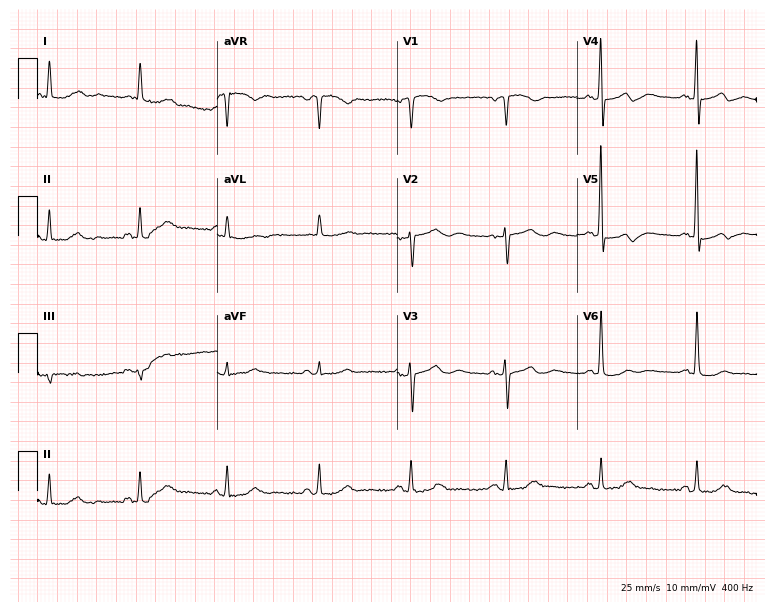
12-lead ECG from an 81-year-old woman. No first-degree AV block, right bundle branch block (RBBB), left bundle branch block (LBBB), sinus bradycardia, atrial fibrillation (AF) or sinus tachycardia recorded for this tracing. Only these six findings were labelled.